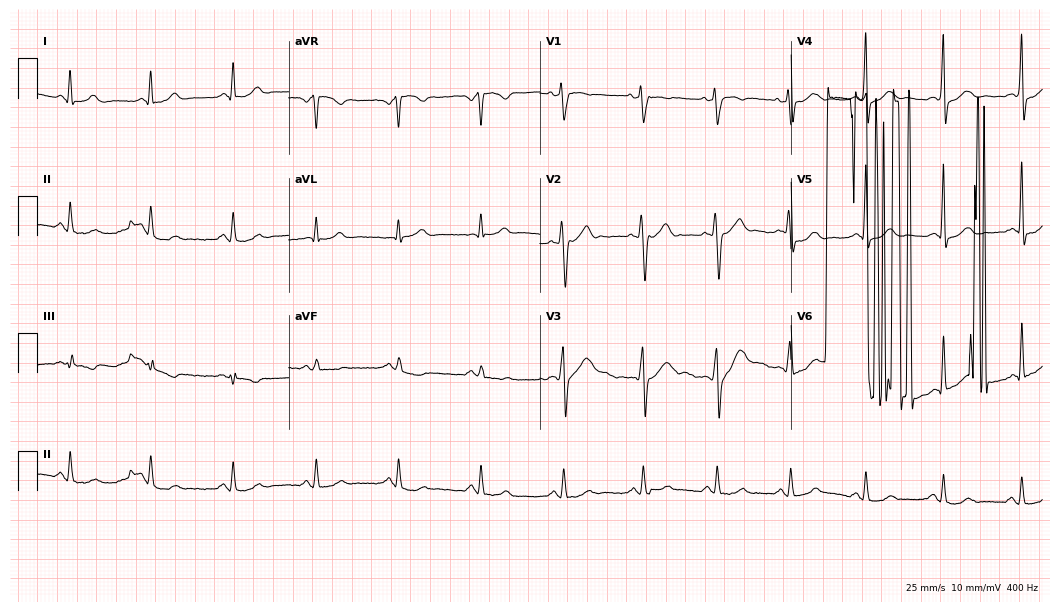
ECG (10.2-second recording at 400 Hz) — a 60-year-old male. Screened for six findings — first-degree AV block, right bundle branch block (RBBB), left bundle branch block (LBBB), sinus bradycardia, atrial fibrillation (AF), sinus tachycardia — none is recorded.